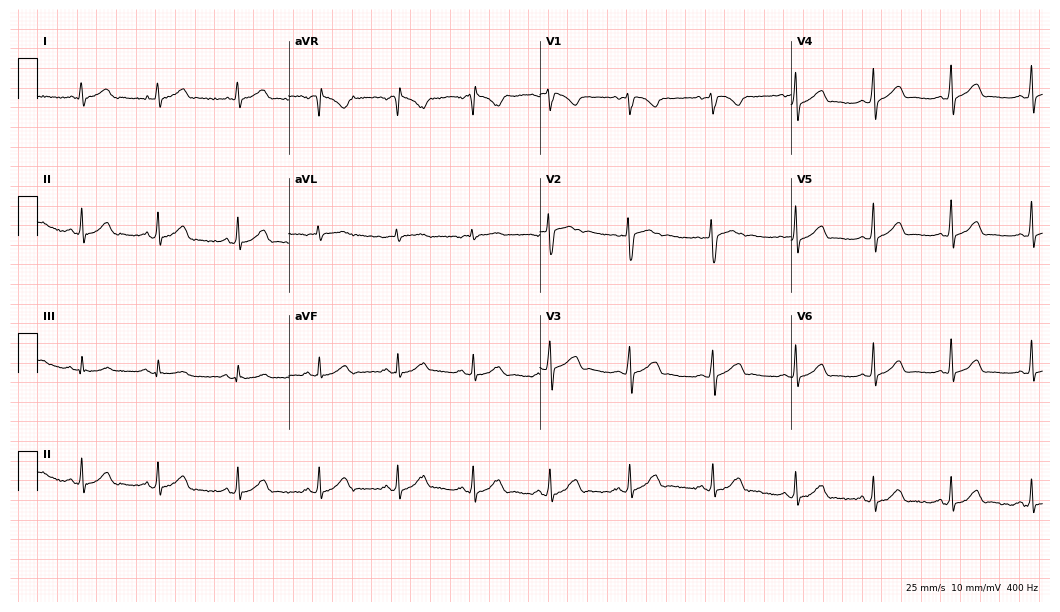
Electrocardiogram (10.2-second recording at 400 Hz), a woman, 30 years old. Of the six screened findings (first-degree AV block, right bundle branch block, left bundle branch block, sinus bradycardia, atrial fibrillation, sinus tachycardia), none is recorded. Other findings, if any, are not listed.